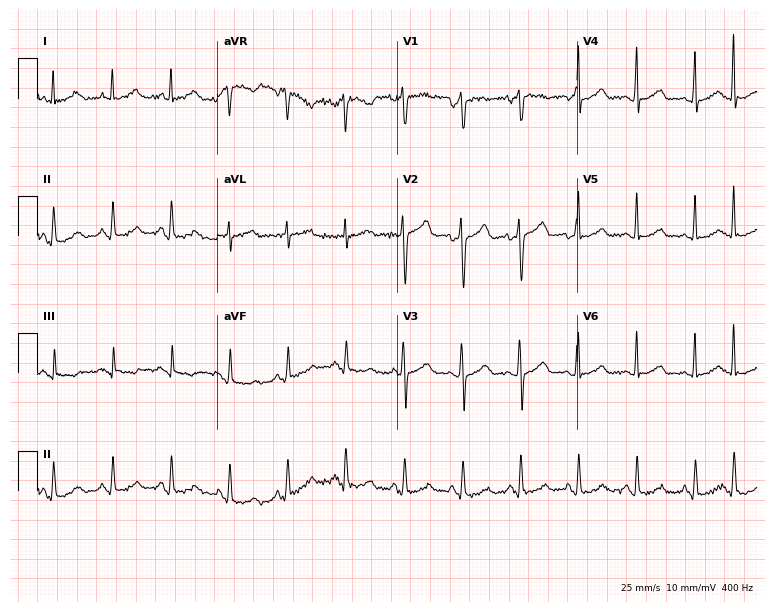
Resting 12-lead electrocardiogram. Patient: a 40-year-old female. The tracing shows sinus tachycardia (a sinus rate of 100 beats per minute or more).